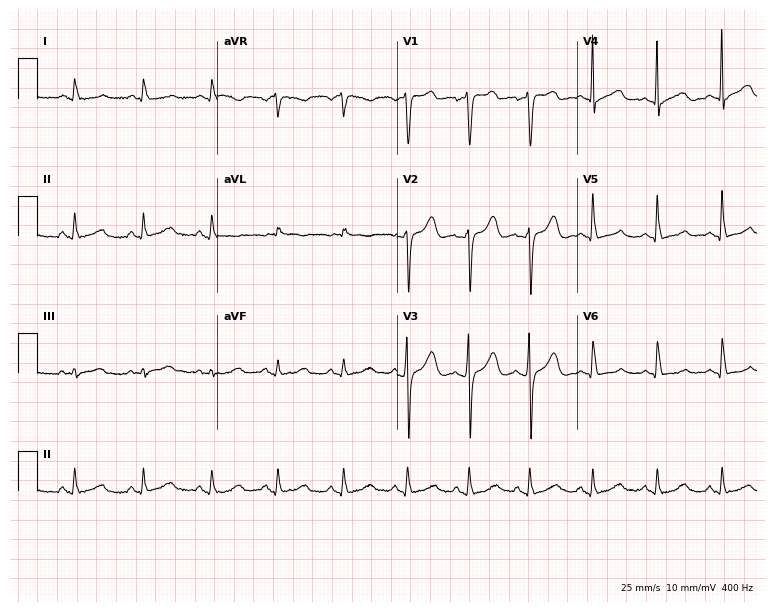
Electrocardiogram, a female, 65 years old. Overall reading on record: normal ECG.